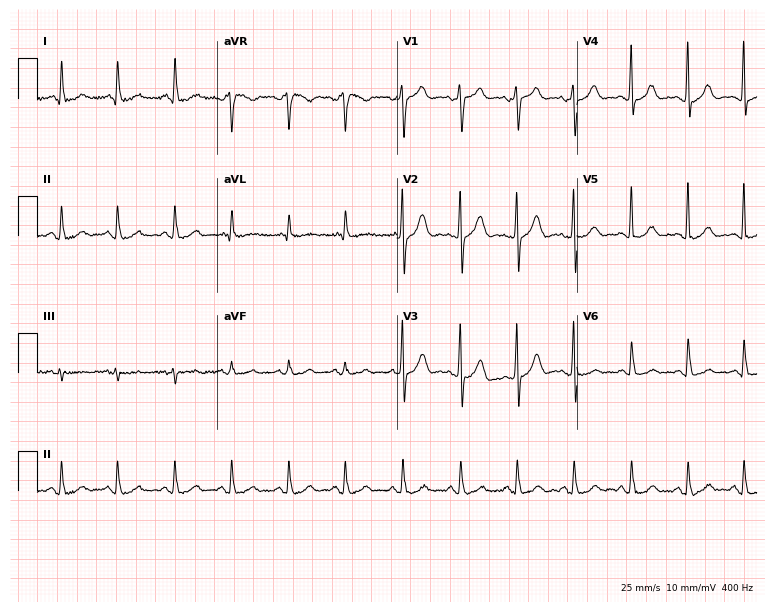
Electrocardiogram, a female, 66 years old. Interpretation includes sinus tachycardia (a sinus rate of 100 beats per minute or more).